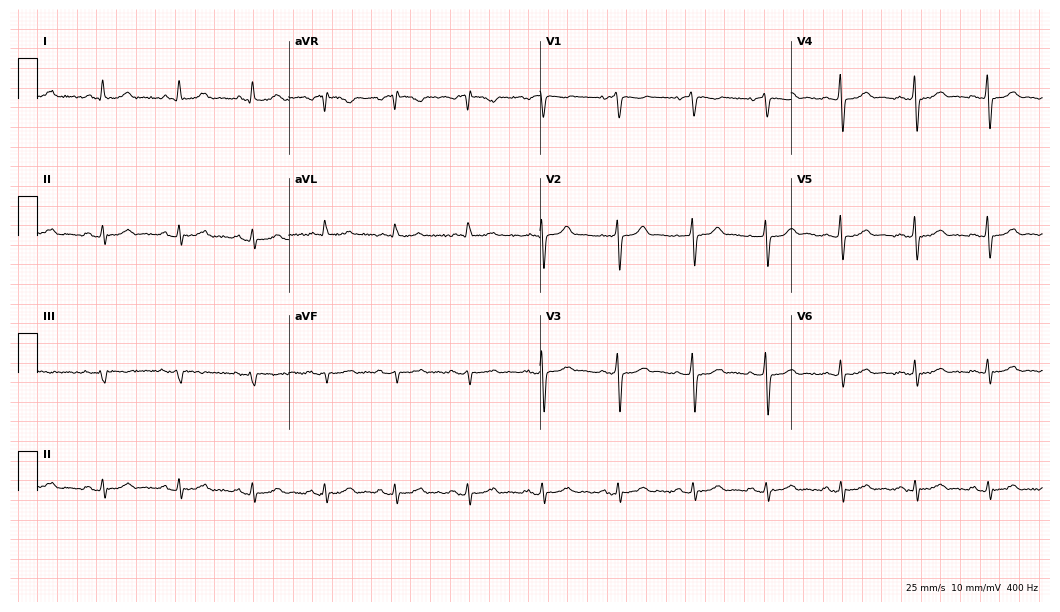
ECG (10.2-second recording at 400 Hz) — a male patient, 65 years old. Labelled as a normal ECG.